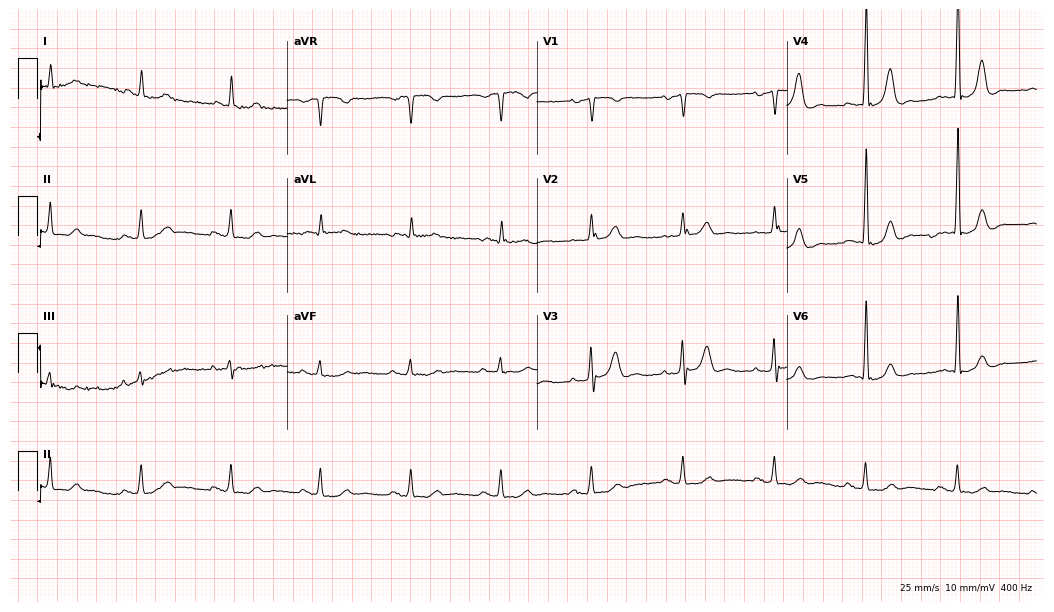
Resting 12-lead electrocardiogram (10.2-second recording at 400 Hz). Patient: a 69-year-old male. None of these six findings is recorded: first-degree AV block, right bundle branch block, left bundle branch block, sinus bradycardia, atrial fibrillation, sinus tachycardia. Findings outside these six are not listed.